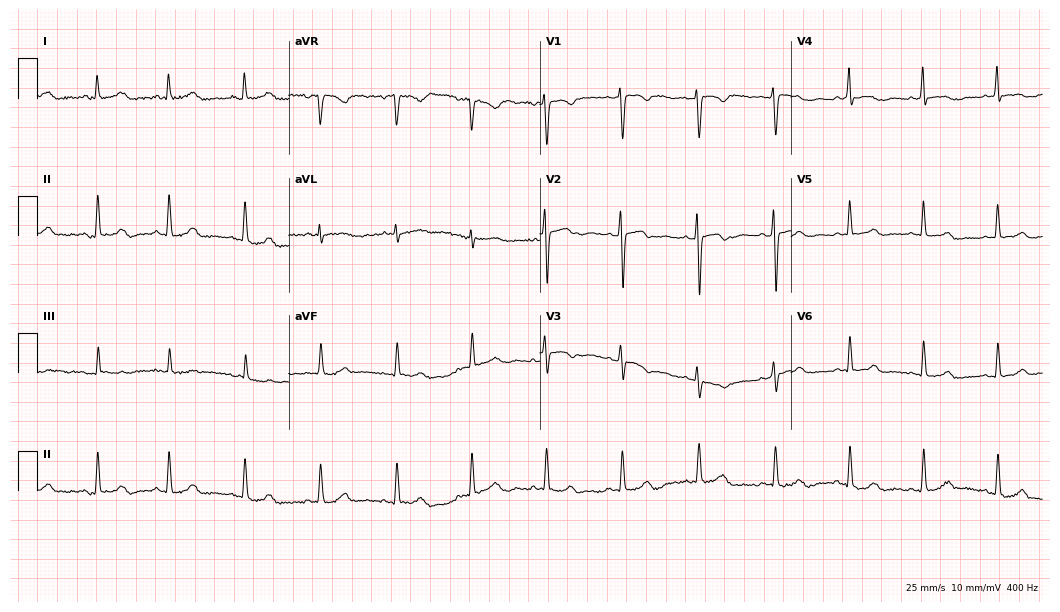
12-lead ECG from a woman, 30 years old. No first-degree AV block, right bundle branch block, left bundle branch block, sinus bradycardia, atrial fibrillation or sinus tachycardia recorded for this tracing.